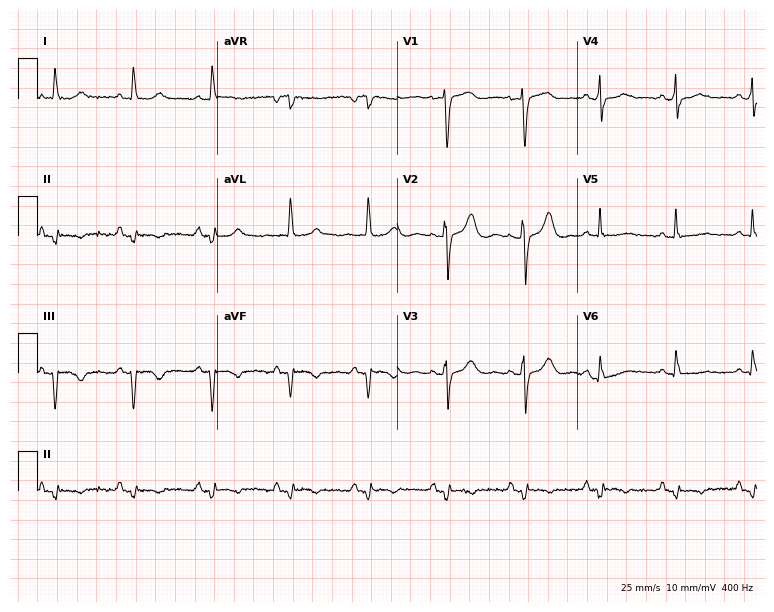
12-lead ECG (7.3-second recording at 400 Hz) from a female patient, 83 years old. Screened for six findings — first-degree AV block, right bundle branch block, left bundle branch block, sinus bradycardia, atrial fibrillation, sinus tachycardia — none is recorded.